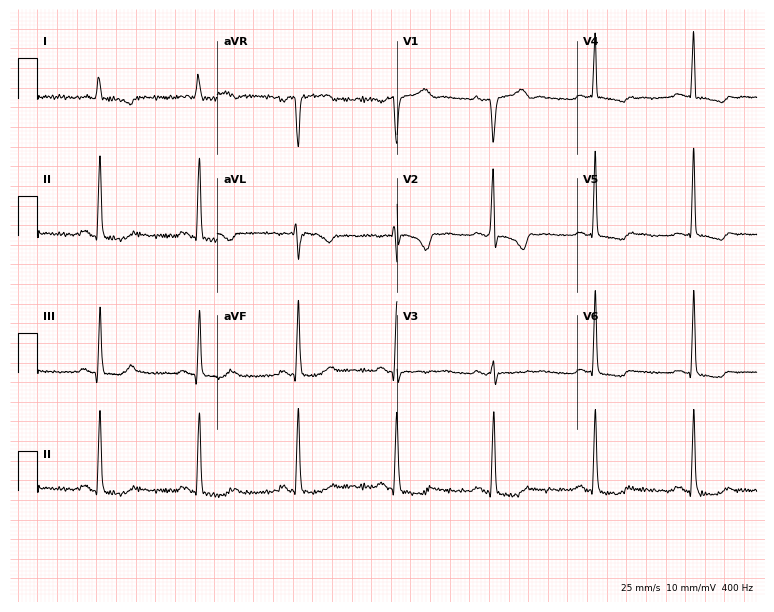
Electrocardiogram (7.3-second recording at 400 Hz), a 68-year-old female patient. Overall reading on record: normal ECG.